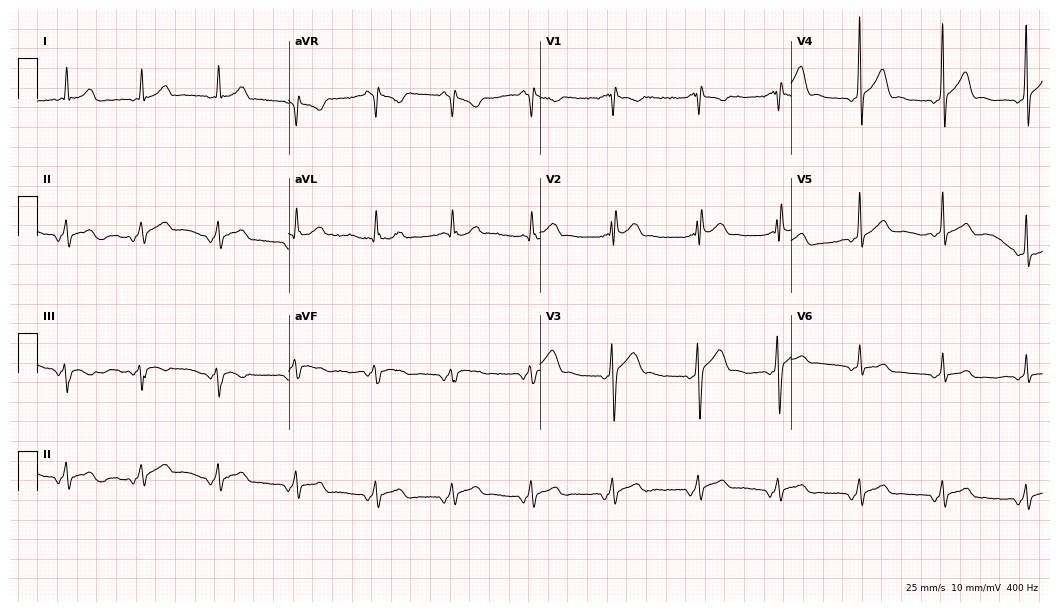
ECG — a male patient, 28 years old. Screened for six findings — first-degree AV block, right bundle branch block, left bundle branch block, sinus bradycardia, atrial fibrillation, sinus tachycardia — none is recorded. Other findings, if any, are not listed.